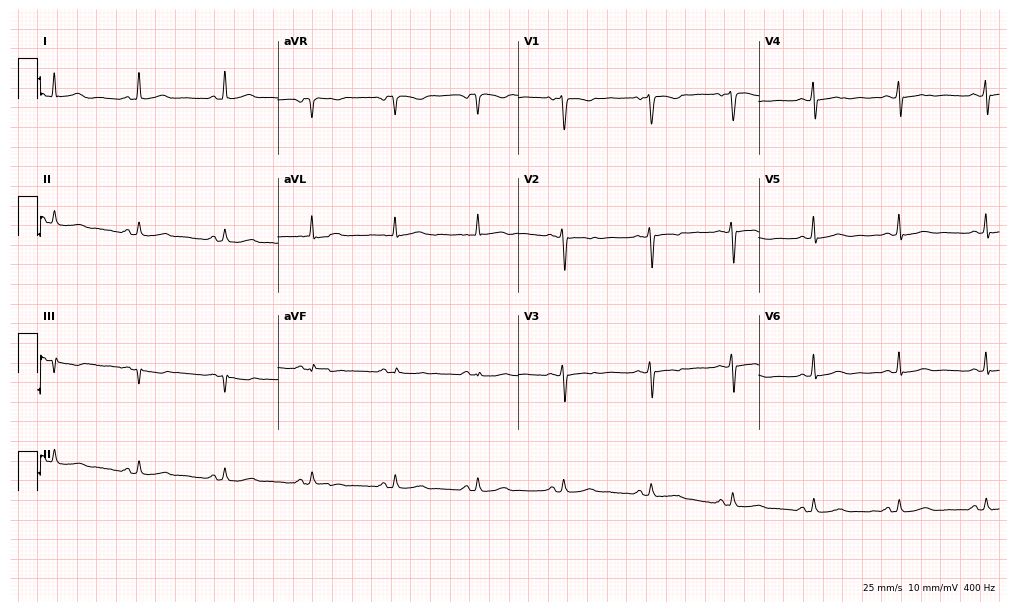
12-lead ECG (9.8-second recording at 400 Hz) from a 40-year-old woman. Screened for six findings — first-degree AV block, right bundle branch block, left bundle branch block, sinus bradycardia, atrial fibrillation, sinus tachycardia — none is recorded.